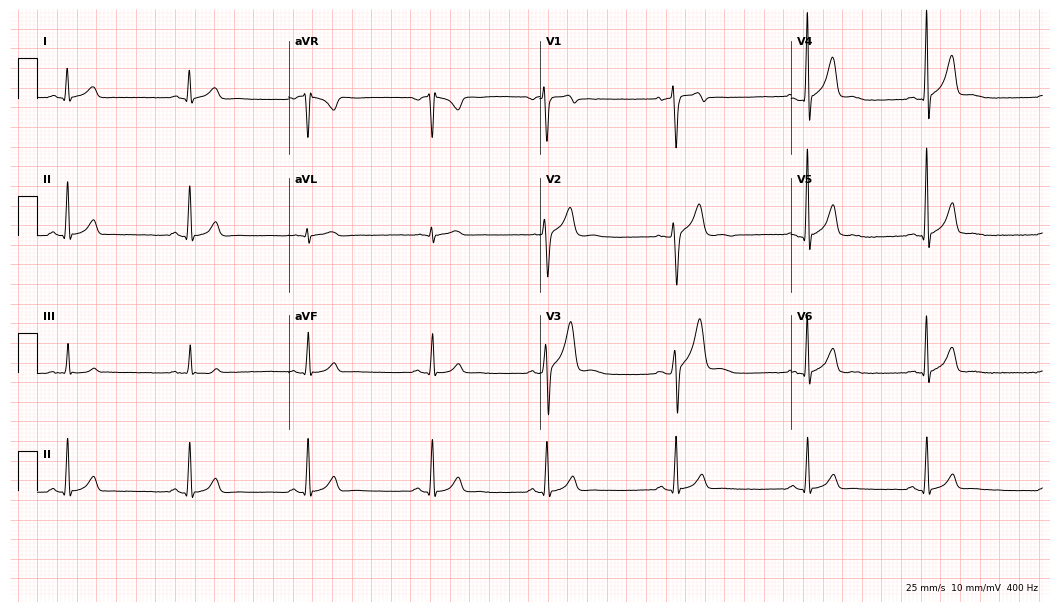
ECG (10.2-second recording at 400 Hz) — a male patient, 33 years old. Labelled as a normal ECG.